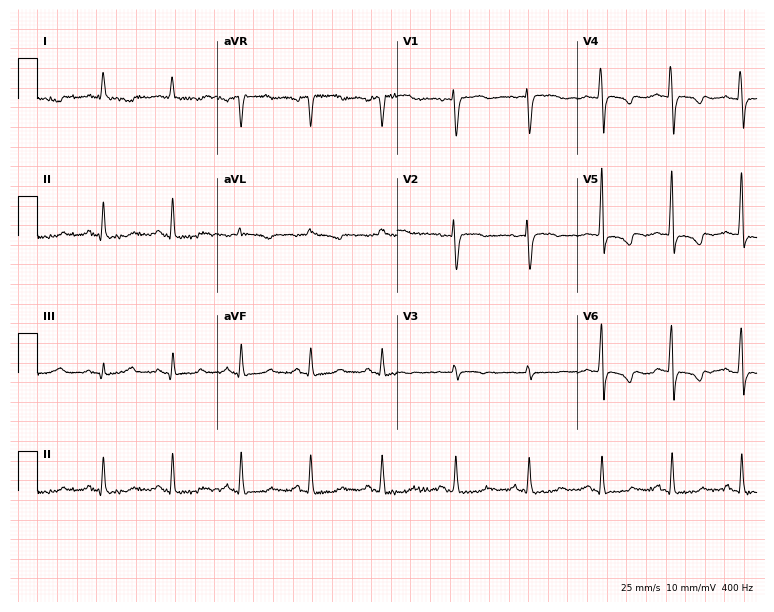
ECG (7.3-second recording at 400 Hz) — a female, 57 years old. Screened for six findings — first-degree AV block, right bundle branch block (RBBB), left bundle branch block (LBBB), sinus bradycardia, atrial fibrillation (AF), sinus tachycardia — none is recorded. Other findings, if any, are not listed.